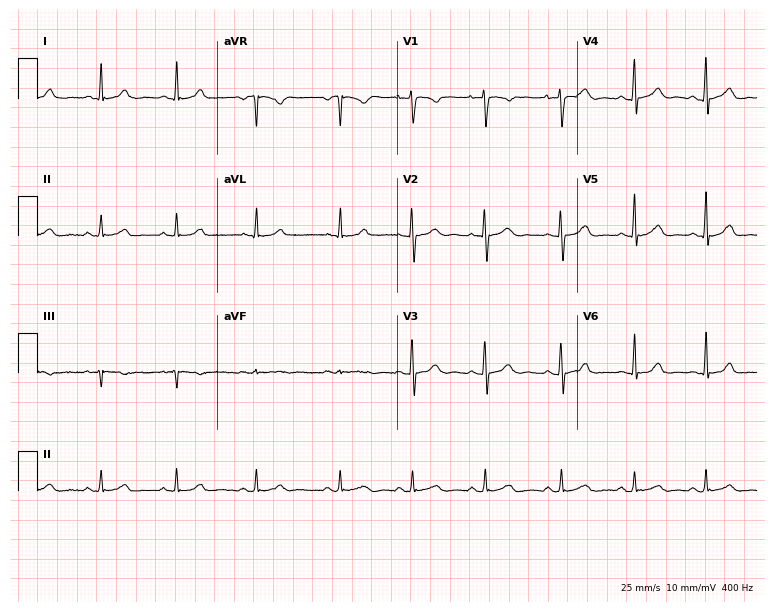
Electrocardiogram, a female patient, 30 years old. Overall reading on record: normal ECG.